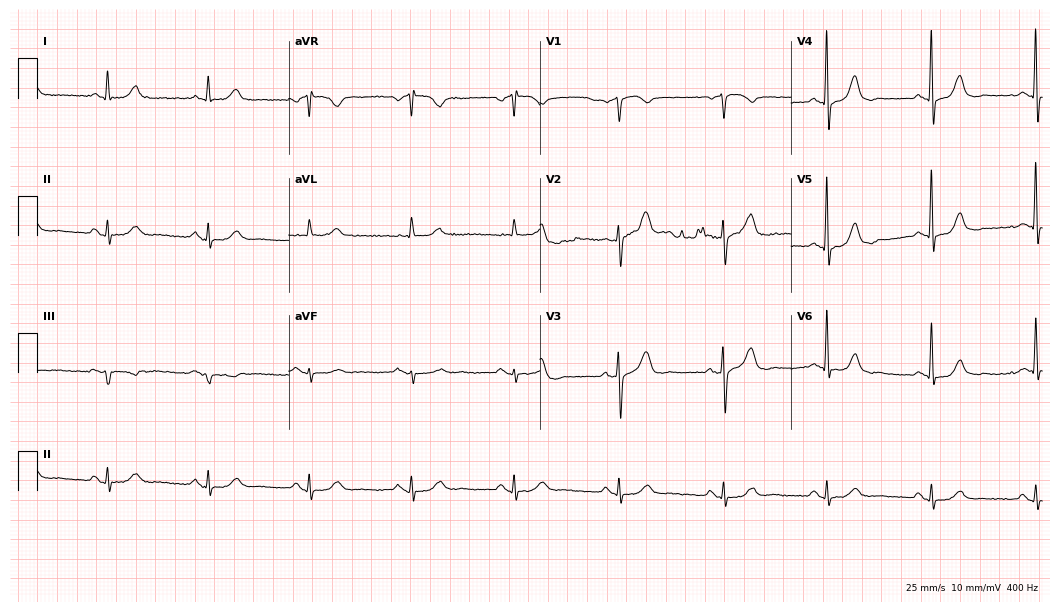
12-lead ECG from a 73-year-old male patient (10.2-second recording at 400 Hz). Recorded interpretation: within normal limits.